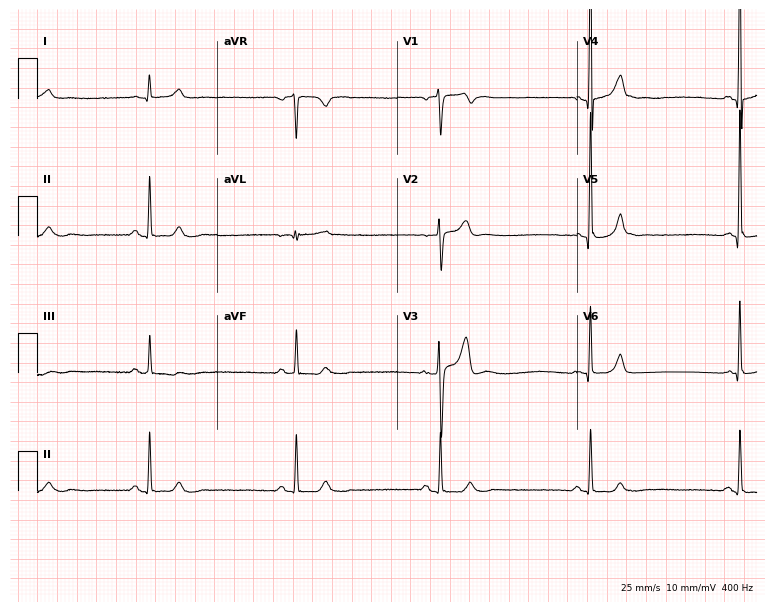
ECG — a male, 44 years old. Findings include sinus bradycardia (a sinus rate of 50 beats per minute or less).